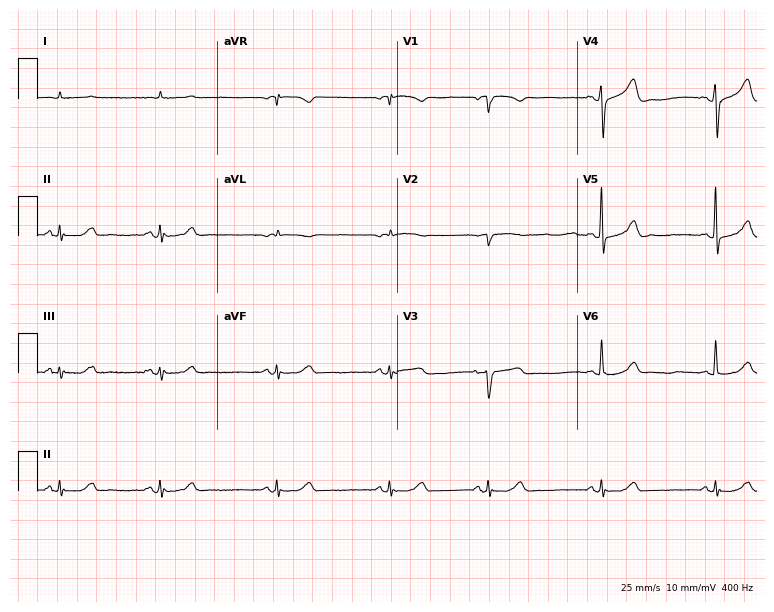
Resting 12-lead electrocardiogram (7.3-second recording at 400 Hz). Patient: a 68-year-old male. None of these six findings is recorded: first-degree AV block, right bundle branch block, left bundle branch block, sinus bradycardia, atrial fibrillation, sinus tachycardia.